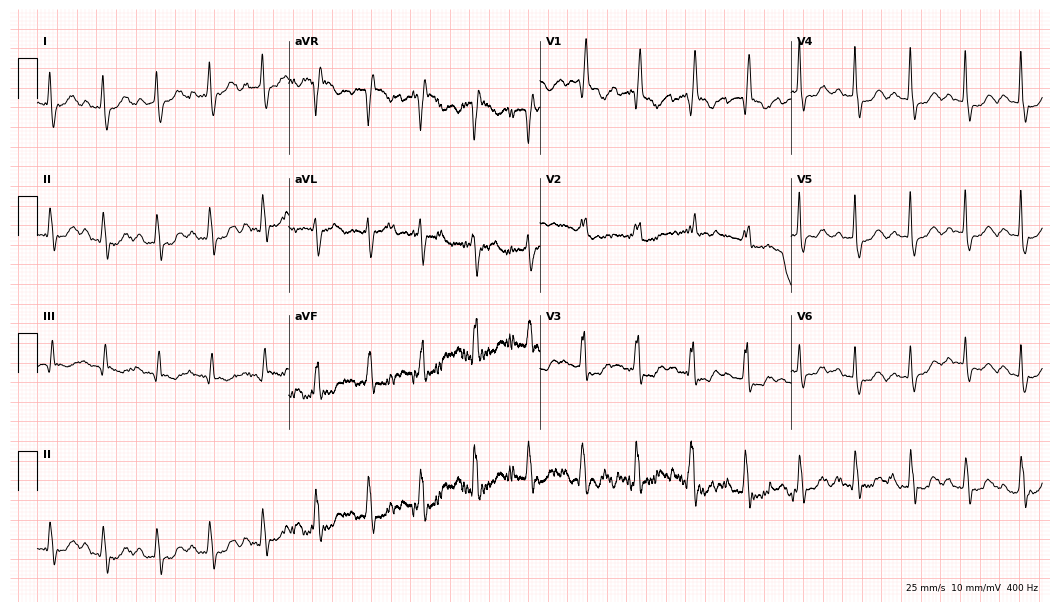
Standard 12-lead ECG recorded from an 84-year-old female. The tracing shows sinus tachycardia (a sinus rate of 100 beats per minute or more).